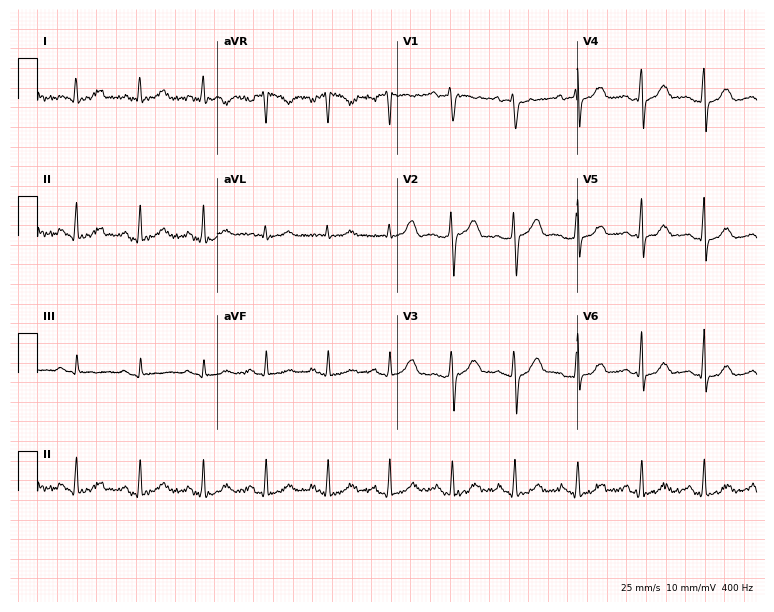
ECG — a 48-year-old female patient. Screened for six findings — first-degree AV block, right bundle branch block, left bundle branch block, sinus bradycardia, atrial fibrillation, sinus tachycardia — none is recorded.